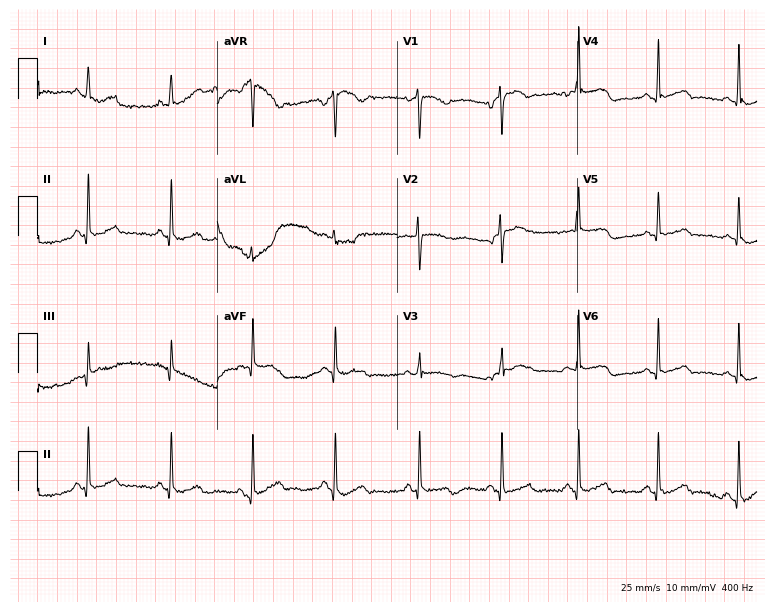
Standard 12-lead ECG recorded from a 36-year-old woman (7.3-second recording at 400 Hz). None of these six findings is recorded: first-degree AV block, right bundle branch block (RBBB), left bundle branch block (LBBB), sinus bradycardia, atrial fibrillation (AF), sinus tachycardia.